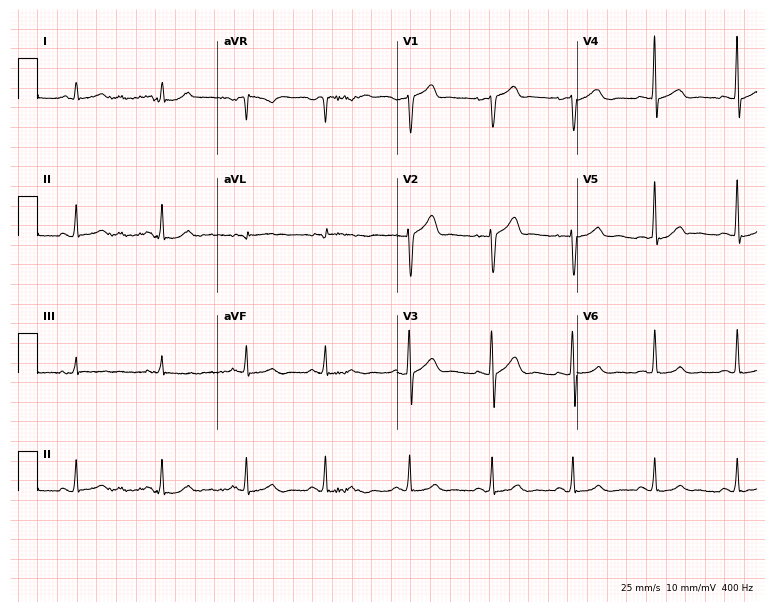
12-lead ECG from a 46-year-old male patient. Recorded interpretation: within normal limits.